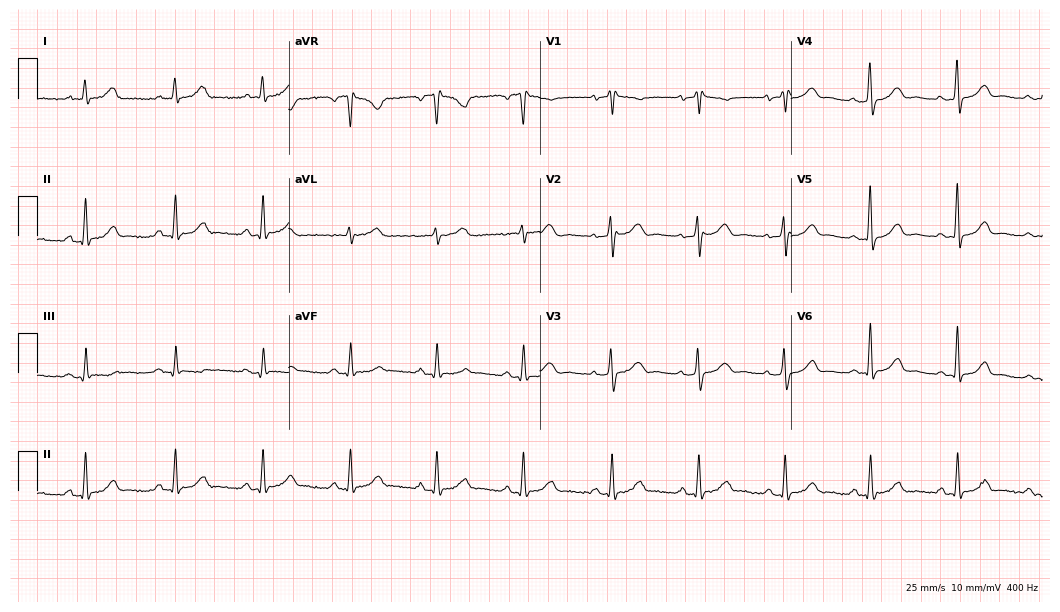
Electrocardiogram, a female, 68 years old. Of the six screened findings (first-degree AV block, right bundle branch block, left bundle branch block, sinus bradycardia, atrial fibrillation, sinus tachycardia), none is recorded. Only these six findings were labelled.